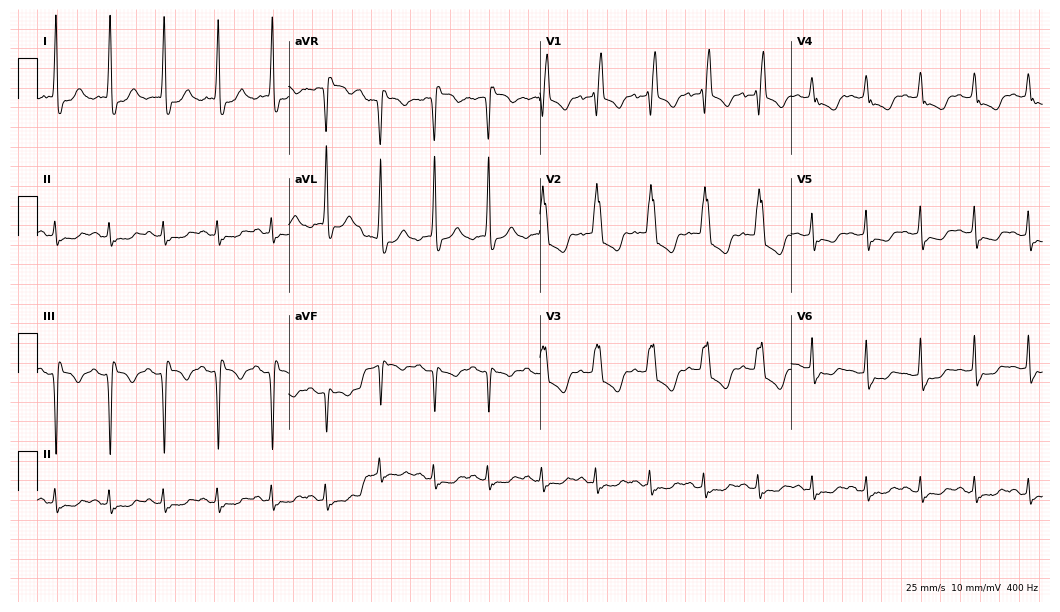
12-lead ECG from a female, 71 years old (10.2-second recording at 400 Hz). No first-degree AV block, right bundle branch block, left bundle branch block, sinus bradycardia, atrial fibrillation or sinus tachycardia recorded for this tracing. Other findings, if any, are not listed.